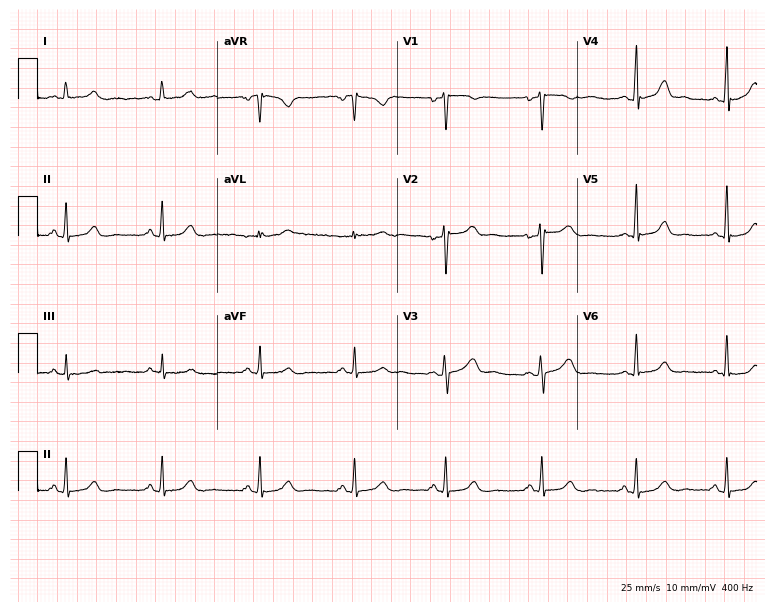
Standard 12-lead ECG recorded from a 33-year-old female patient (7.3-second recording at 400 Hz). Read as a normal ECG.